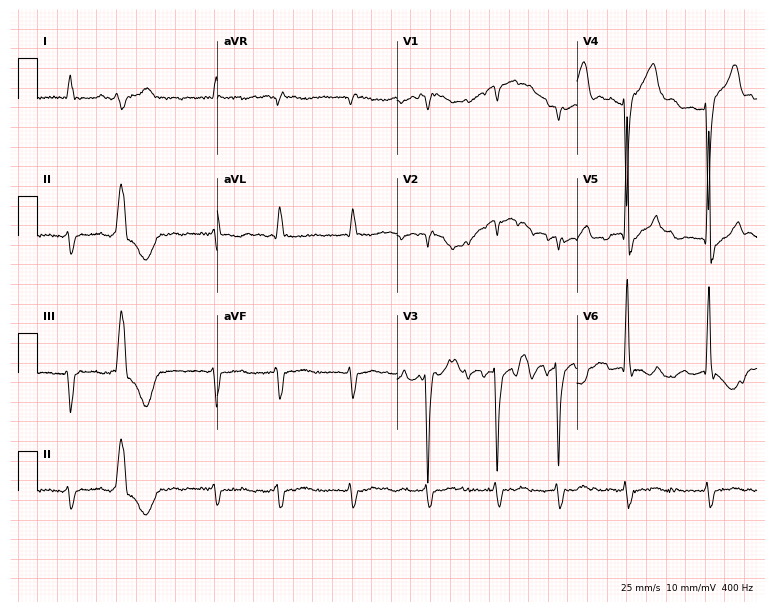
ECG (7.3-second recording at 400 Hz) — a male, 82 years old. Findings include atrial fibrillation.